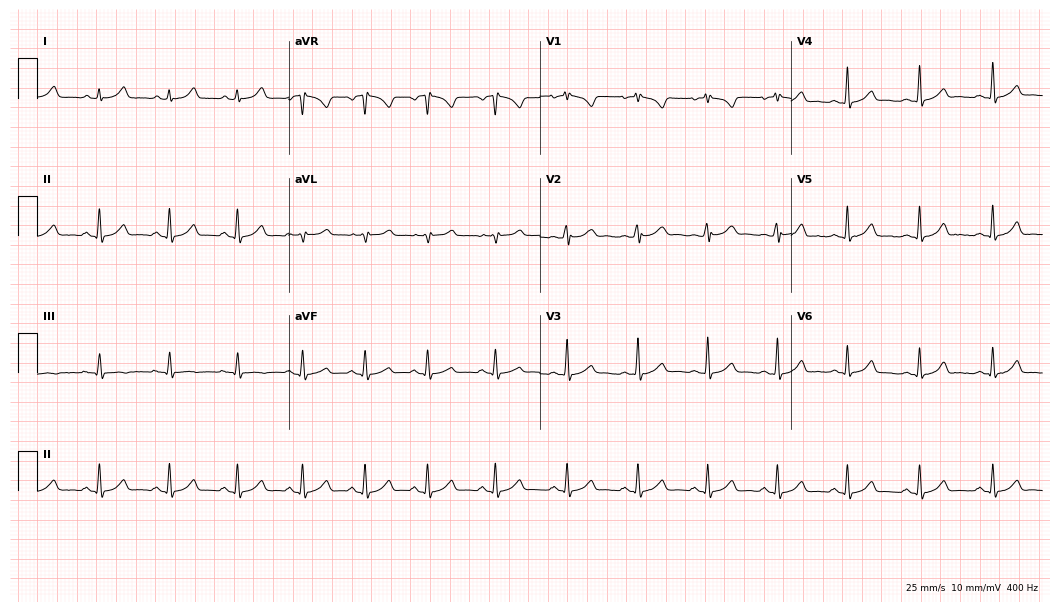
Resting 12-lead electrocardiogram (10.2-second recording at 400 Hz). Patient: a female, 36 years old. Read as a normal ECG.